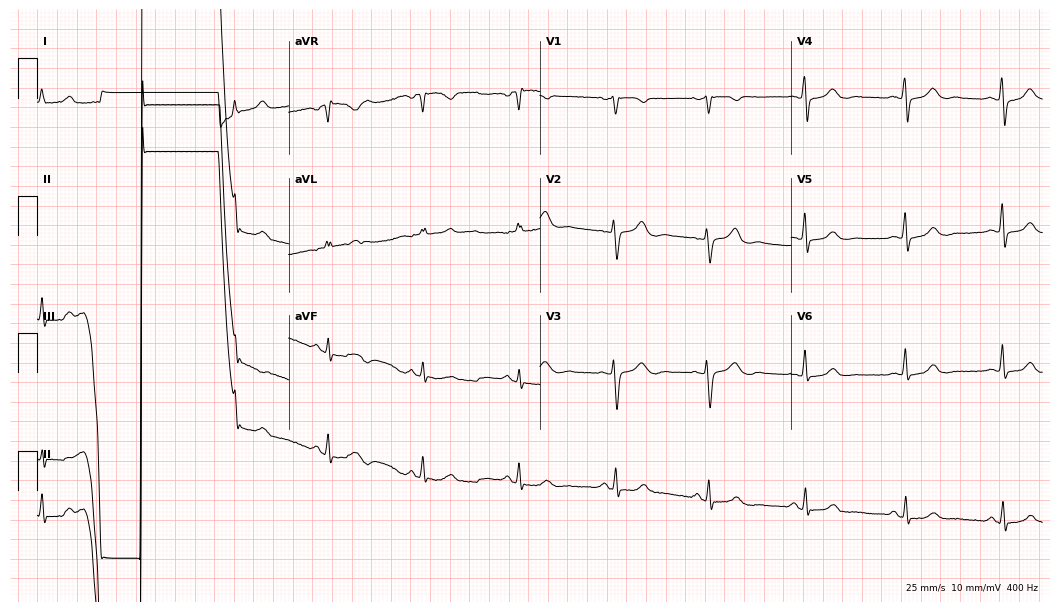
12-lead ECG from a 64-year-old female patient (10.2-second recording at 400 Hz). Recorded interpretation: within normal limits.